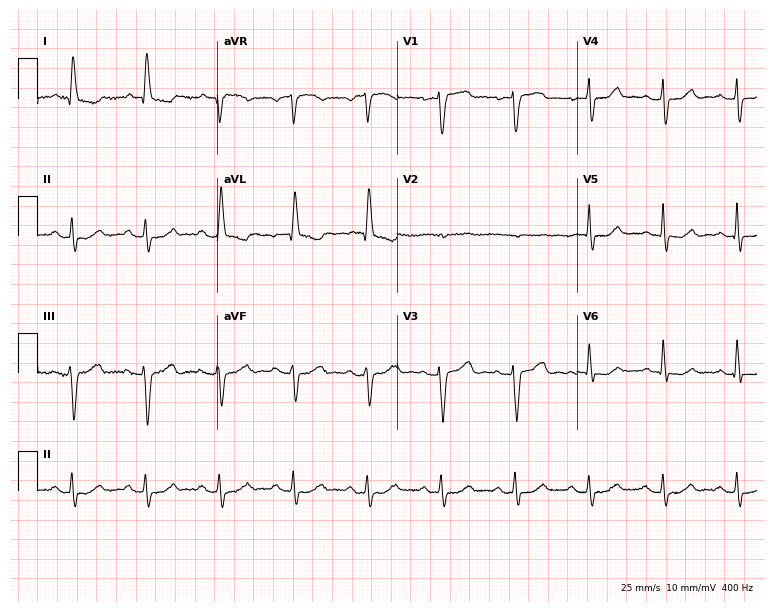
Resting 12-lead electrocardiogram (7.3-second recording at 400 Hz). Patient: an 83-year-old woman. Read as a normal ECG.